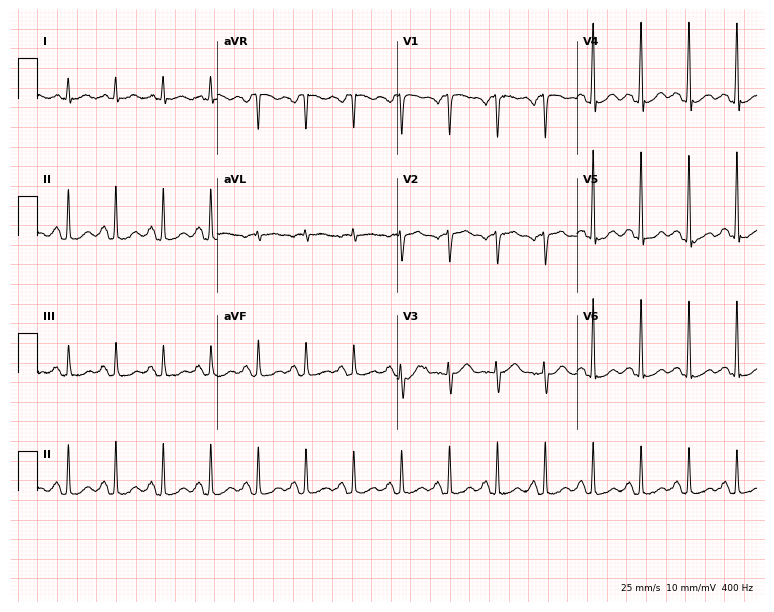
Resting 12-lead electrocardiogram (7.3-second recording at 400 Hz). Patient: a 72-year-old man. The tracing shows sinus tachycardia (a sinus rate of 100 beats per minute or more).